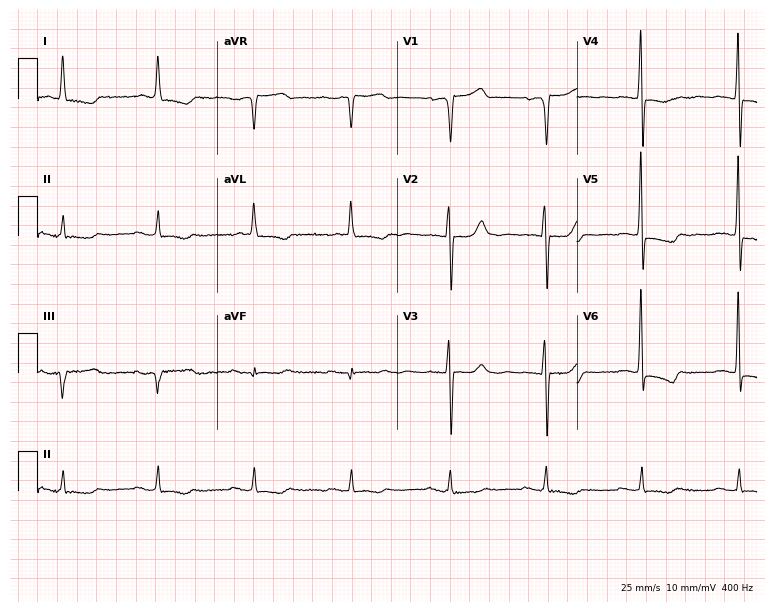
Resting 12-lead electrocardiogram (7.3-second recording at 400 Hz). Patient: an 85-year-old female. None of these six findings is recorded: first-degree AV block, right bundle branch block, left bundle branch block, sinus bradycardia, atrial fibrillation, sinus tachycardia.